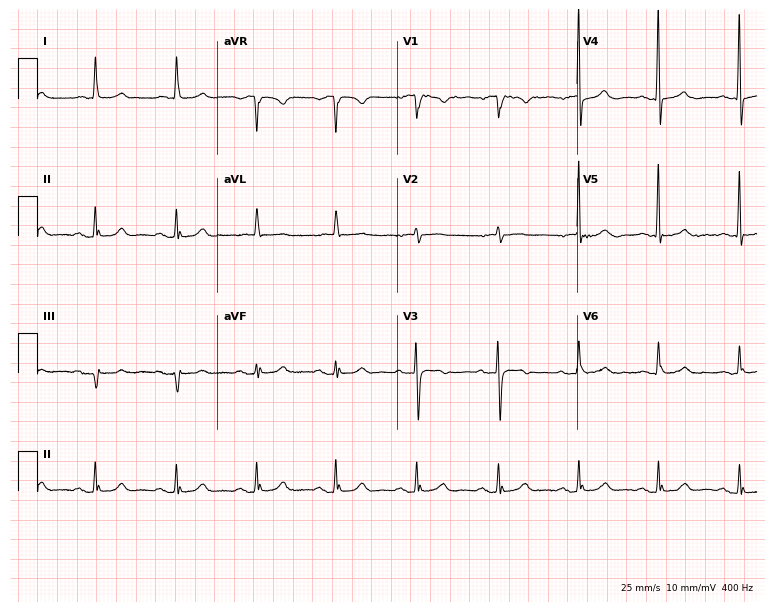
12-lead ECG from an 82-year-old woman. Labelled as a normal ECG.